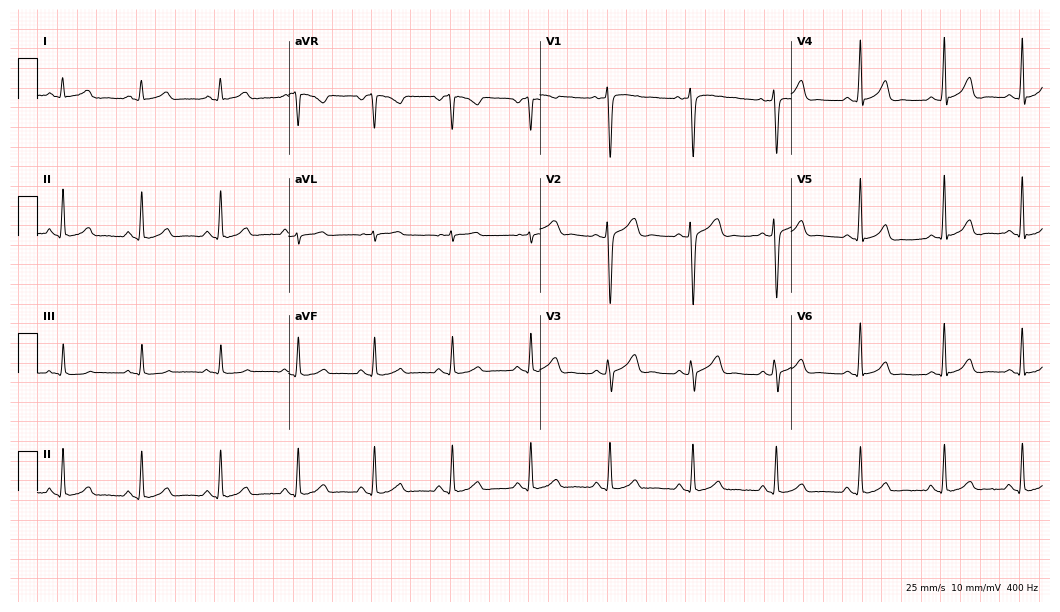
ECG — a 25-year-old female patient. Labelled as a normal ECG.